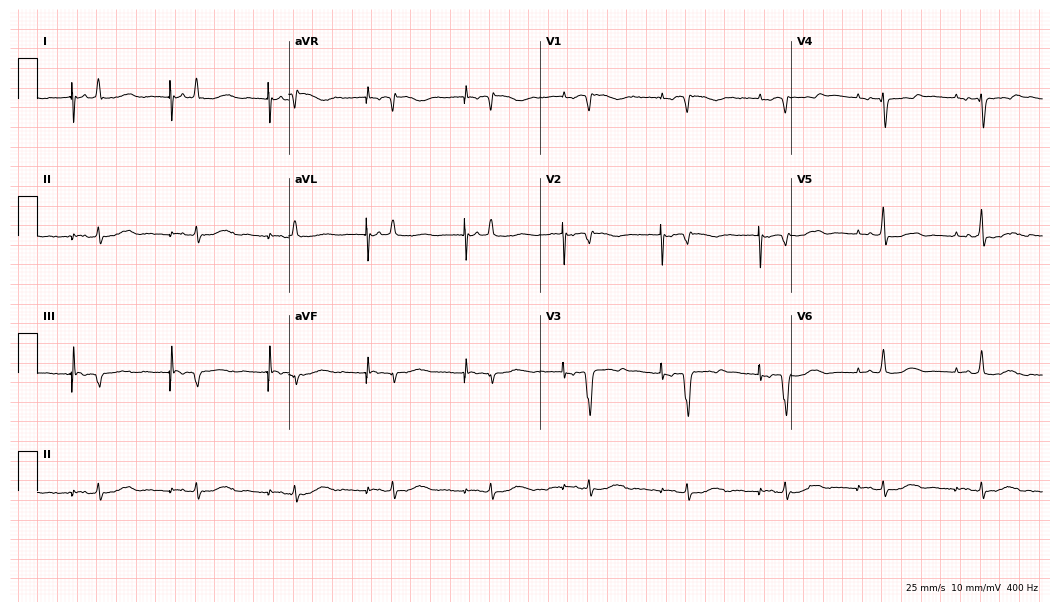
ECG — an 83-year-old male. Screened for six findings — first-degree AV block, right bundle branch block, left bundle branch block, sinus bradycardia, atrial fibrillation, sinus tachycardia — none is recorded. Other findings, if any, are not listed.